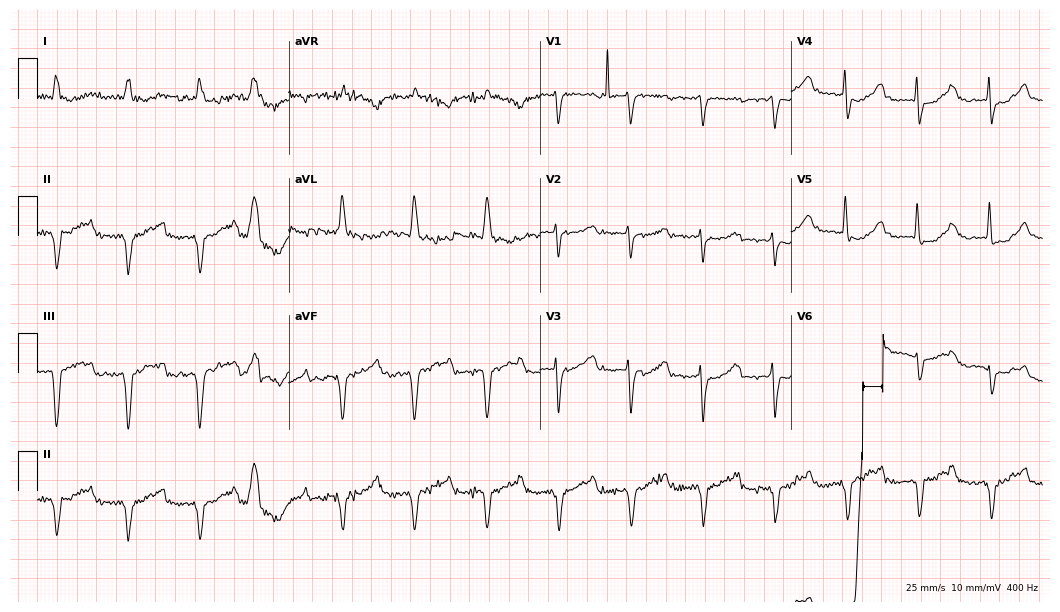
ECG — an 83-year-old man. Screened for six findings — first-degree AV block, right bundle branch block, left bundle branch block, sinus bradycardia, atrial fibrillation, sinus tachycardia — none is recorded. Other findings, if any, are not listed.